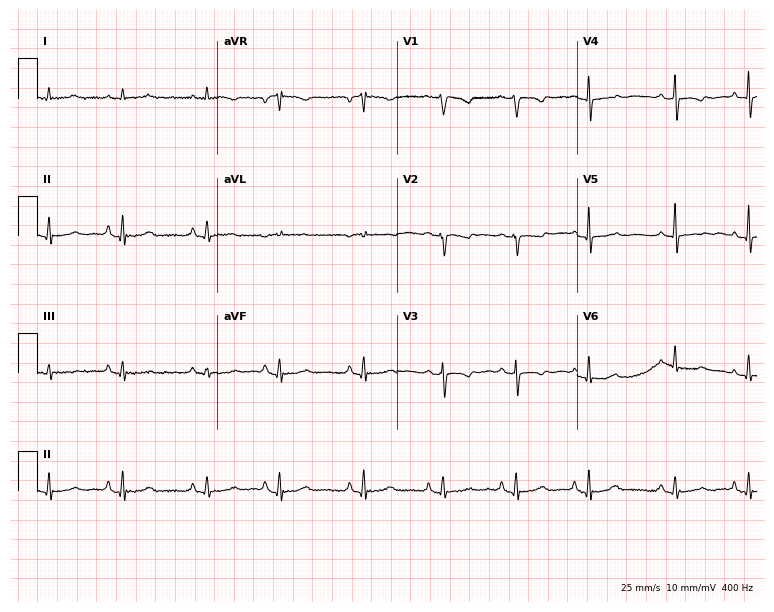
Resting 12-lead electrocardiogram. Patient: a 66-year-old woman. None of these six findings is recorded: first-degree AV block, right bundle branch block, left bundle branch block, sinus bradycardia, atrial fibrillation, sinus tachycardia. Only these six findings were labelled.